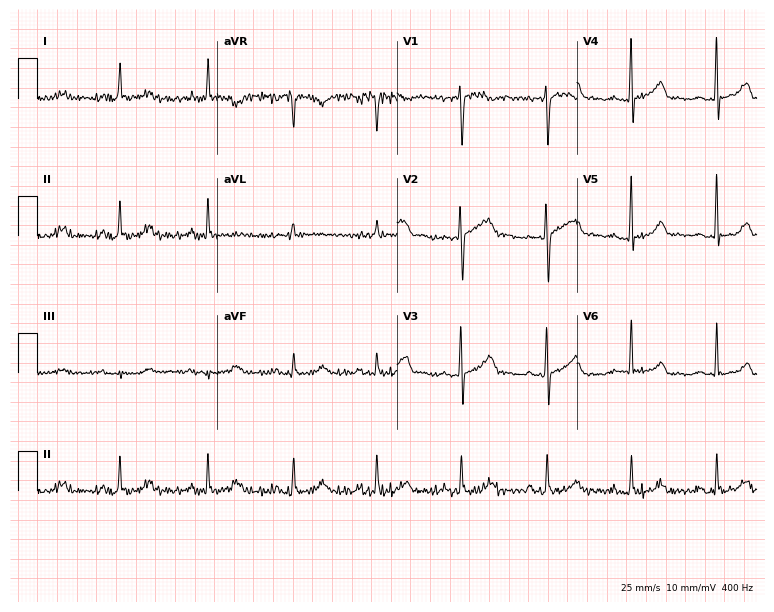
ECG (7.3-second recording at 400 Hz) — a 52-year-old woman. Screened for six findings — first-degree AV block, right bundle branch block, left bundle branch block, sinus bradycardia, atrial fibrillation, sinus tachycardia — none is recorded.